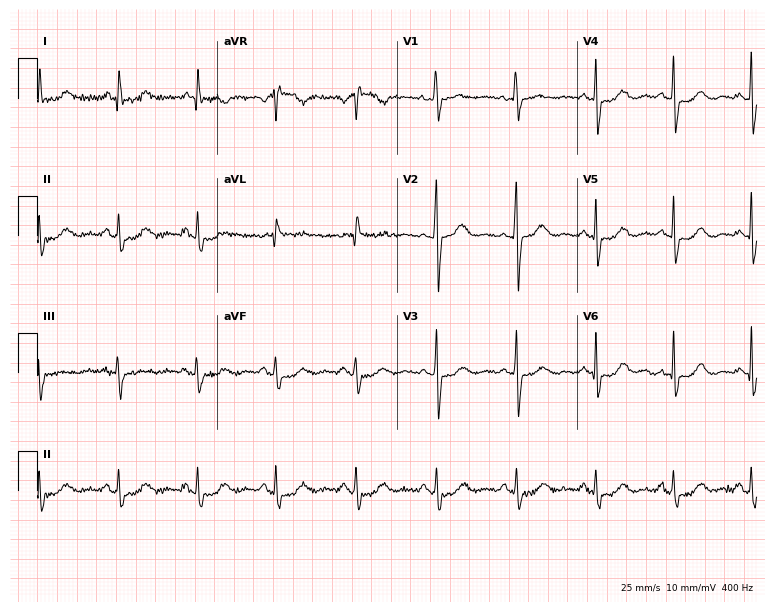
Resting 12-lead electrocardiogram. Patient: a 64-year-old female. Read as a normal ECG.